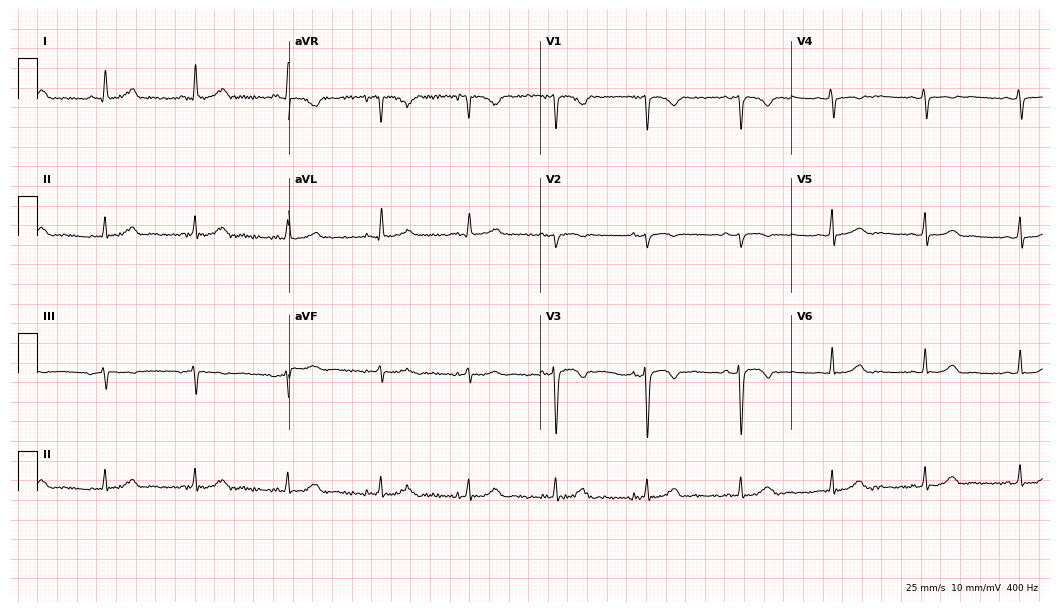
ECG — a female, 41 years old. Screened for six findings — first-degree AV block, right bundle branch block, left bundle branch block, sinus bradycardia, atrial fibrillation, sinus tachycardia — none is recorded. Findings outside these six are not listed.